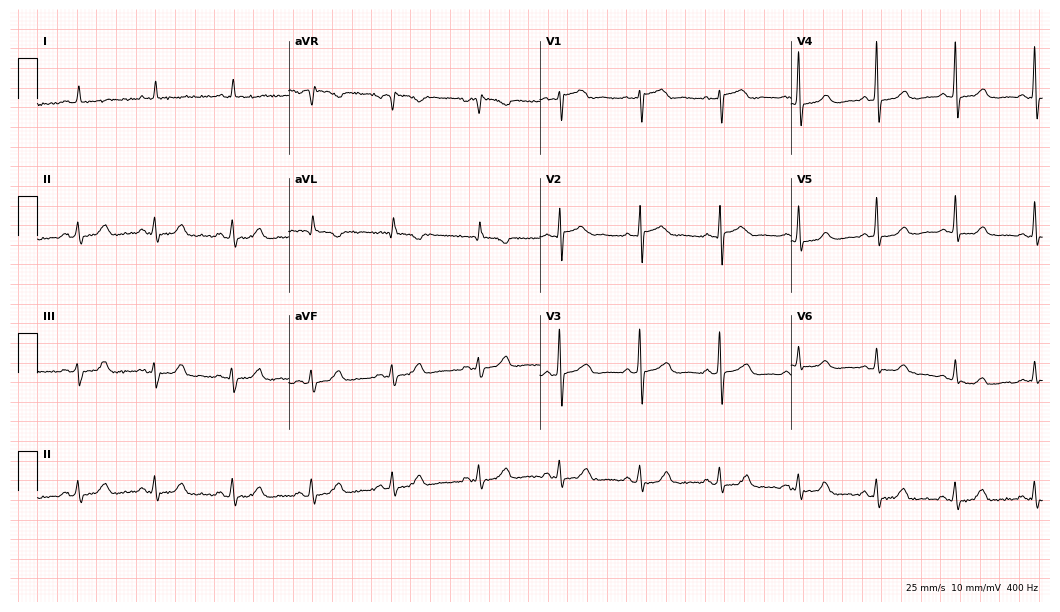
12-lead ECG (10.2-second recording at 400 Hz) from a woman, 76 years old. Screened for six findings — first-degree AV block, right bundle branch block, left bundle branch block, sinus bradycardia, atrial fibrillation, sinus tachycardia — none is recorded.